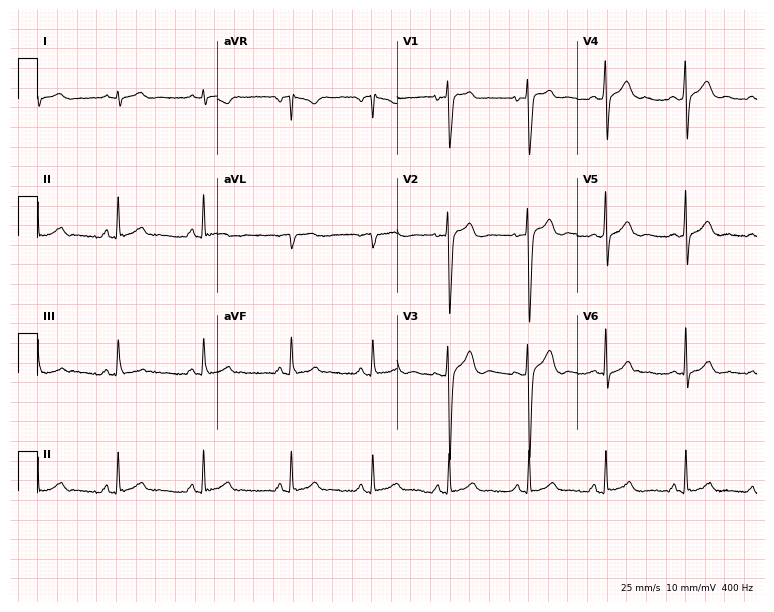
12-lead ECG from a 20-year-old male patient. Recorded interpretation: within normal limits.